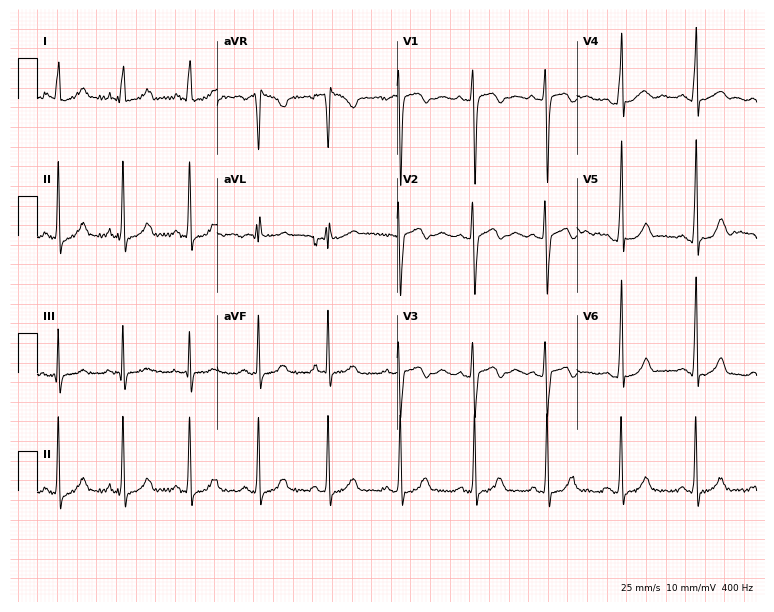
12-lead ECG (7.3-second recording at 400 Hz) from a female patient, 17 years old. Screened for six findings — first-degree AV block, right bundle branch block, left bundle branch block, sinus bradycardia, atrial fibrillation, sinus tachycardia — none is recorded.